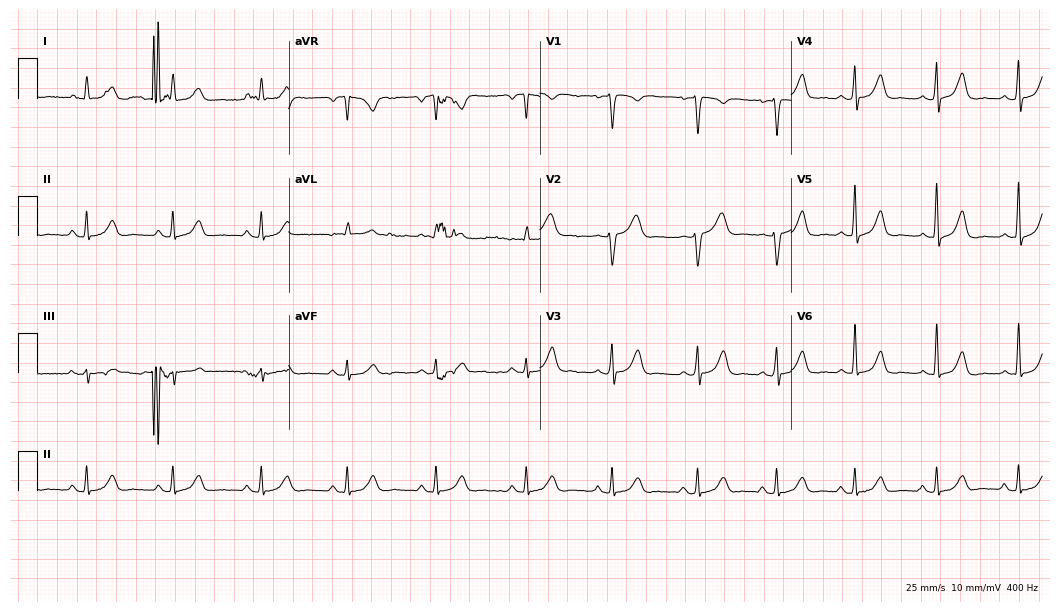
Electrocardiogram (10.2-second recording at 400 Hz), a 47-year-old female. Of the six screened findings (first-degree AV block, right bundle branch block, left bundle branch block, sinus bradycardia, atrial fibrillation, sinus tachycardia), none is recorded. Other findings, if any, are not listed.